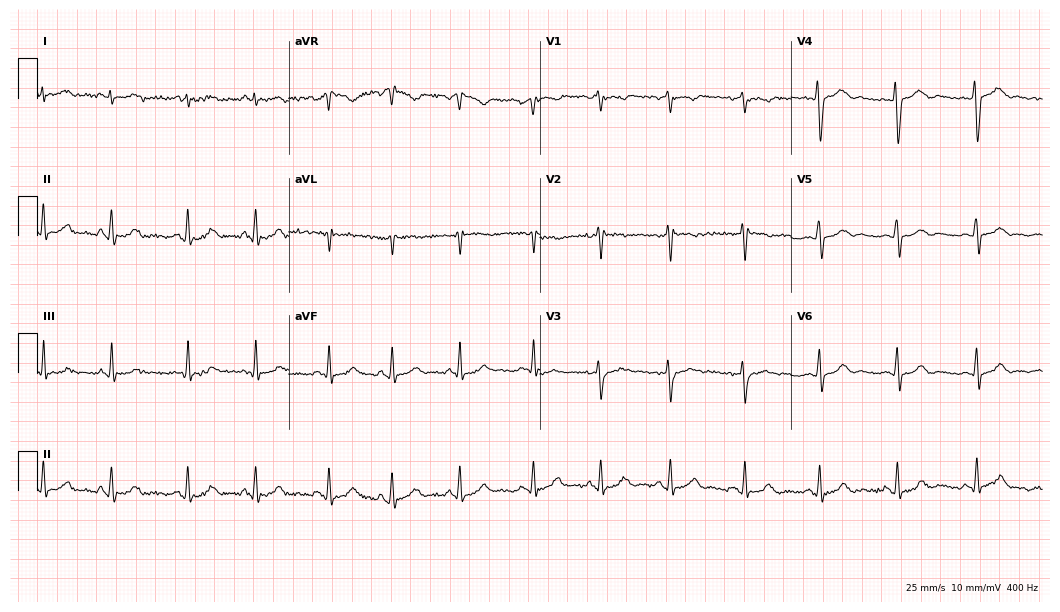
ECG (10.2-second recording at 400 Hz) — a woman, 21 years old. Screened for six findings — first-degree AV block, right bundle branch block, left bundle branch block, sinus bradycardia, atrial fibrillation, sinus tachycardia — none is recorded. Only these six findings were labelled.